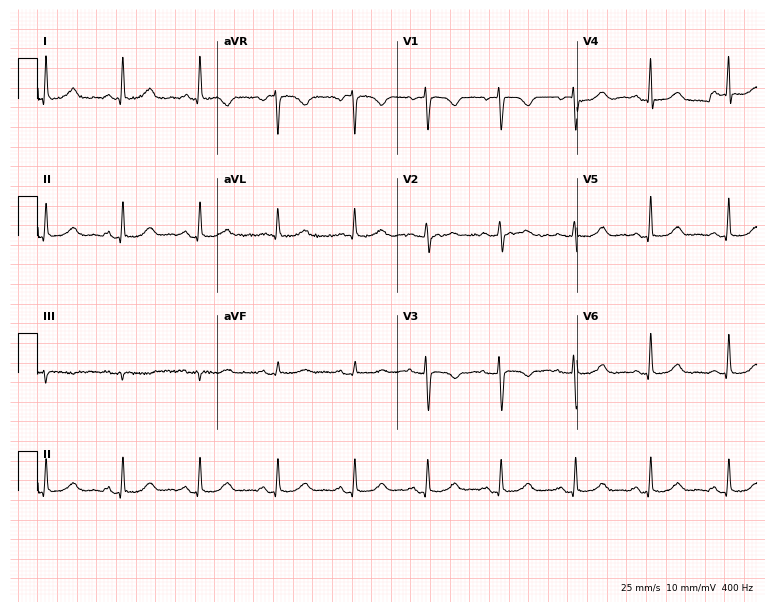
Standard 12-lead ECG recorded from a 71-year-old female. Read as a normal ECG.